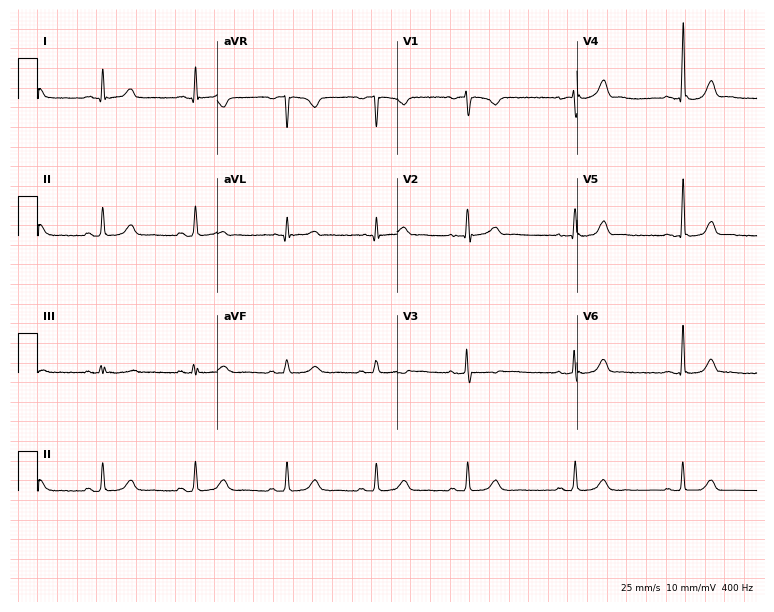
Resting 12-lead electrocardiogram. Patient: a female, 34 years old. Read as a normal ECG.